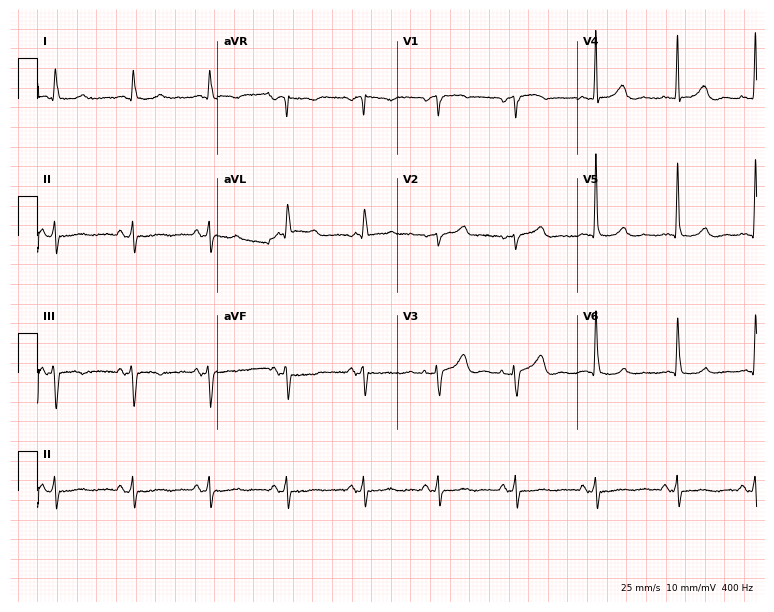
12-lead ECG (7.3-second recording at 400 Hz) from a woman, 77 years old. Screened for six findings — first-degree AV block, right bundle branch block (RBBB), left bundle branch block (LBBB), sinus bradycardia, atrial fibrillation (AF), sinus tachycardia — none is recorded.